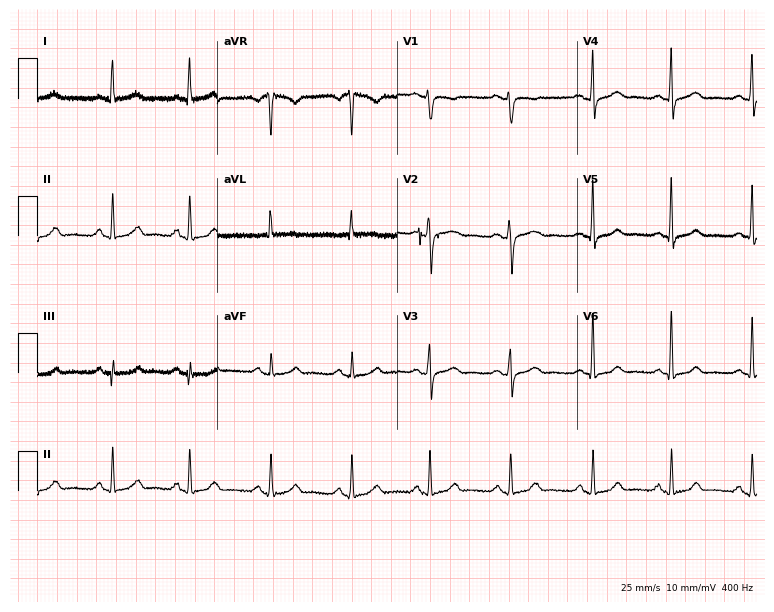
12-lead ECG from a female patient, 52 years old (7.3-second recording at 400 Hz). Recorded interpretation: within normal limits.